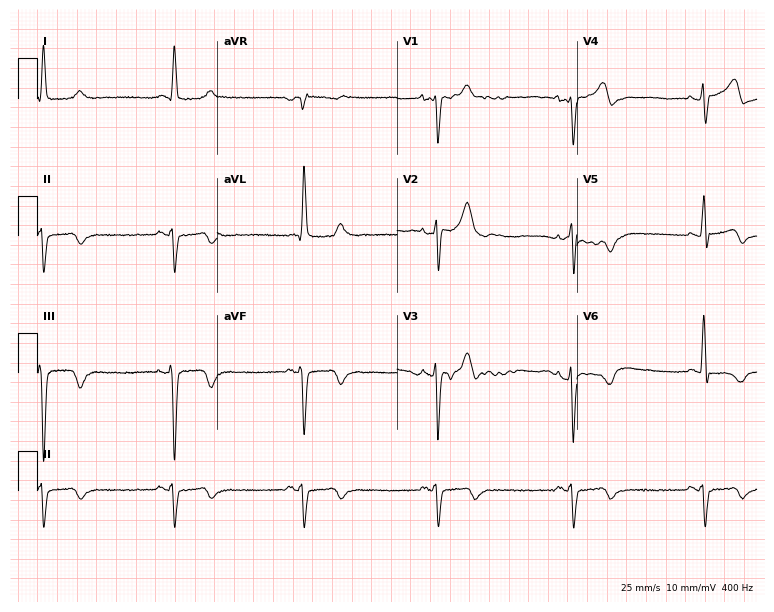
ECG (7.3-second recording at 400 Hz) — a male patient, 72 years old. Findings include sinus bradycardia (a sinus rate of 50 beats per minute or less).